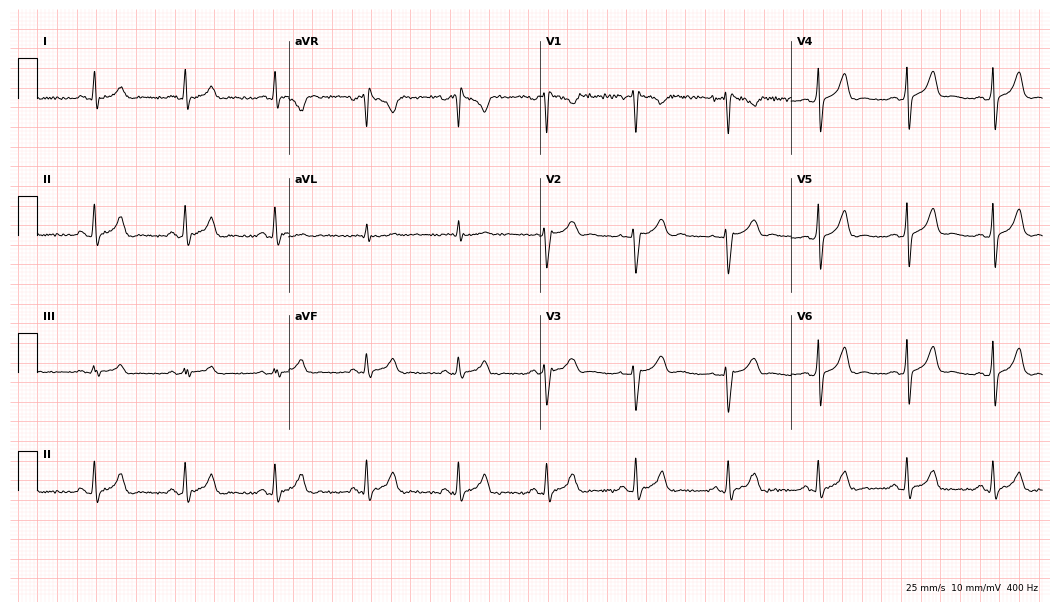
Standard 12-lead ECG recorded from a 28-year-old male (10.2-second recording at 400 Hz). None of these six findings is recorded: first-degree AV block, right bundle branch block (RBBB), left bundle branch block (LBBB), sinus bradycardia, atrial fibrillation (AF), sinus tachycardia.